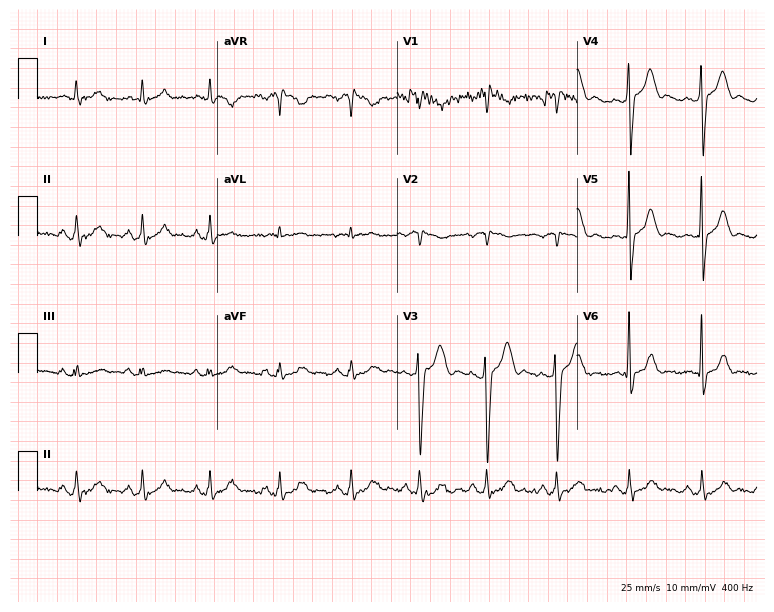
ECG (7.3-second recording at 400 Hz) — a male, 42 years old. Screened for six findings — first-degree AV block, right bundle branch block, left bundle branch block, sinus bradycardia, atrial fibrillation, sinus tachycardia — none is recorded. Findings outside these six are not listed.